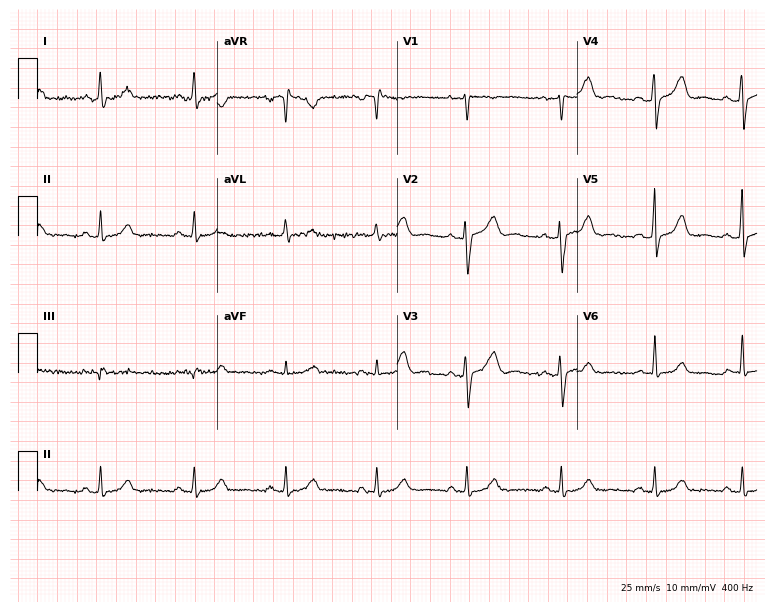
Standard 12-lead ECG recorded from a female patient, 43 years old (7.3-second recording at 400 Hz). Read as a normal ECG.